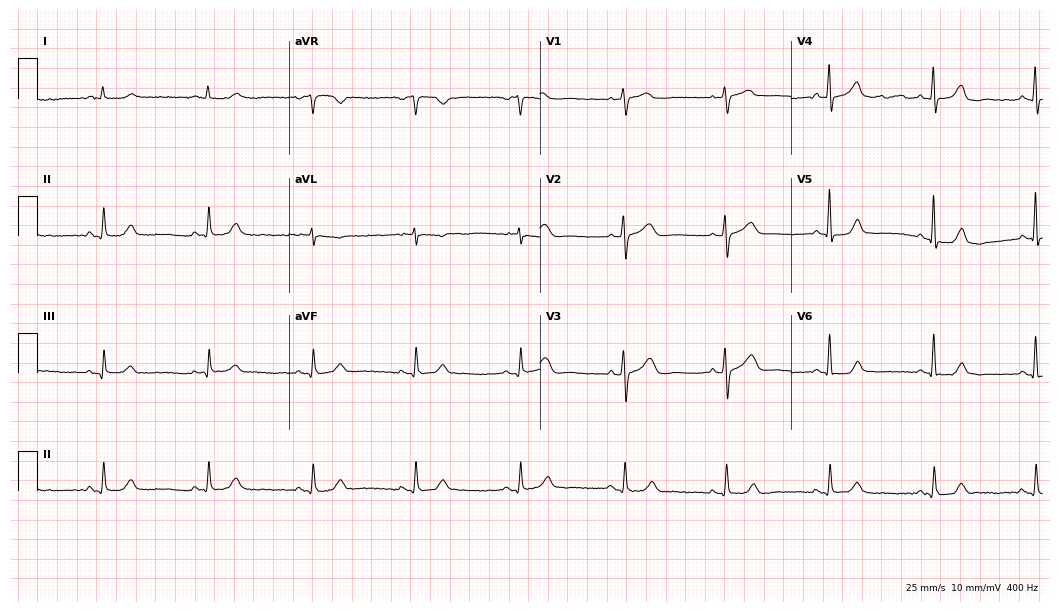
Resting 12-lead electrocardiogram. Patient: a female, 77 years old. Read as a normal ECG.